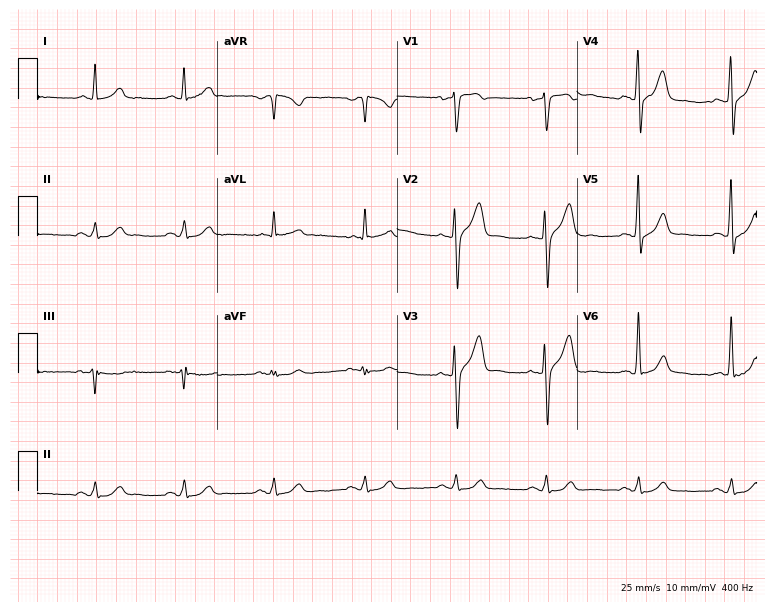
Resting 12-lead electrocardiogram. Patient: a man, 53 years old. None of these six findings is recorded: first-degree AV block, right bundle branch block, left bundle branch block, sinus bradycardia, atrial fibrillation, sinus tachycardia. Other findings, if any, are not listed.